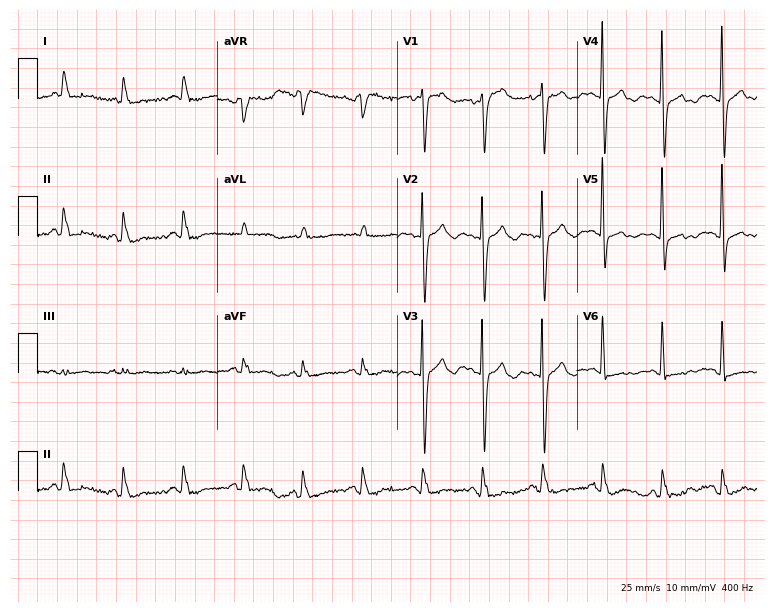
Electrocardiogram (7.3-second recording at 400 Hz), an 83-year-old woman. Of the six screened findings (first-degree AV block, right bundle branch block (RBBB), left bundle branch block (LBBB), sinus bradycardia, atrial fibrillation (AF), sinus tachycardia), none is recorded. Findings outside these six are not listed.